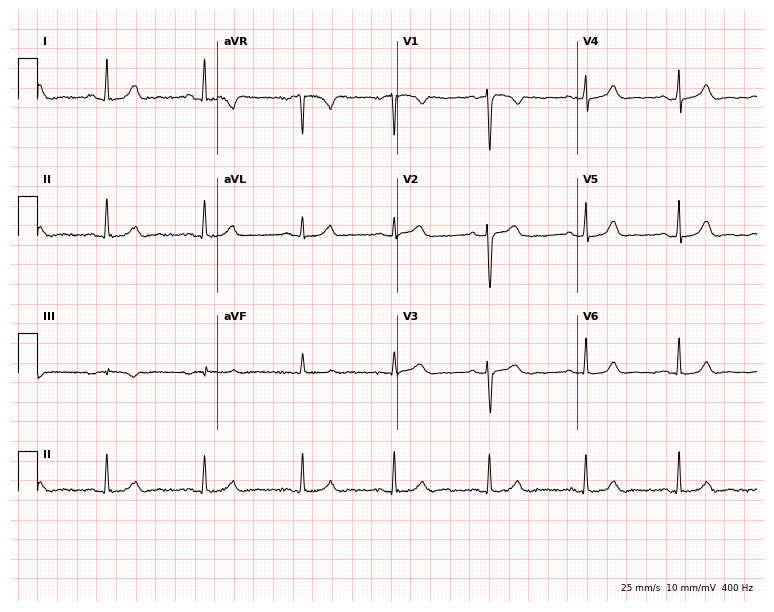
Resting 12-lead electrocardiogram. Patient: a woman, 34 years old. Read as a normal ECG.